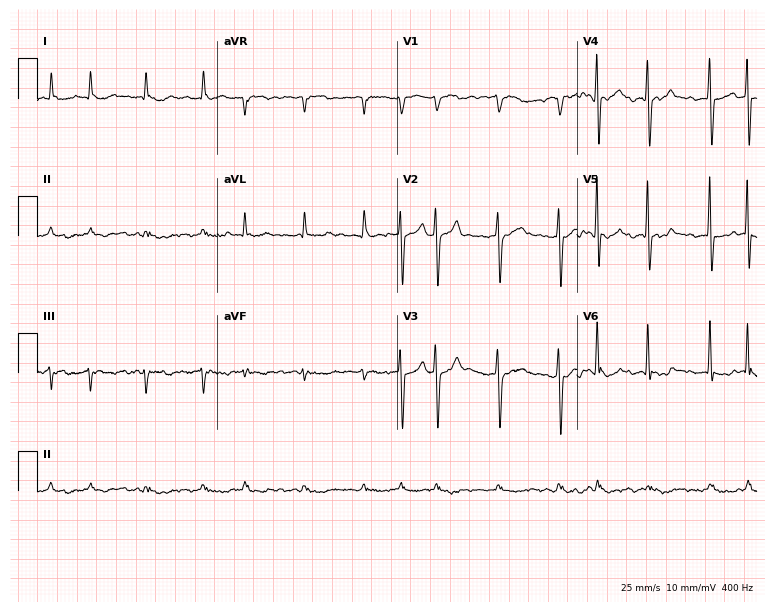
12-lead ECG from an 82-year-old male patient. Shows atrial fibrillation.